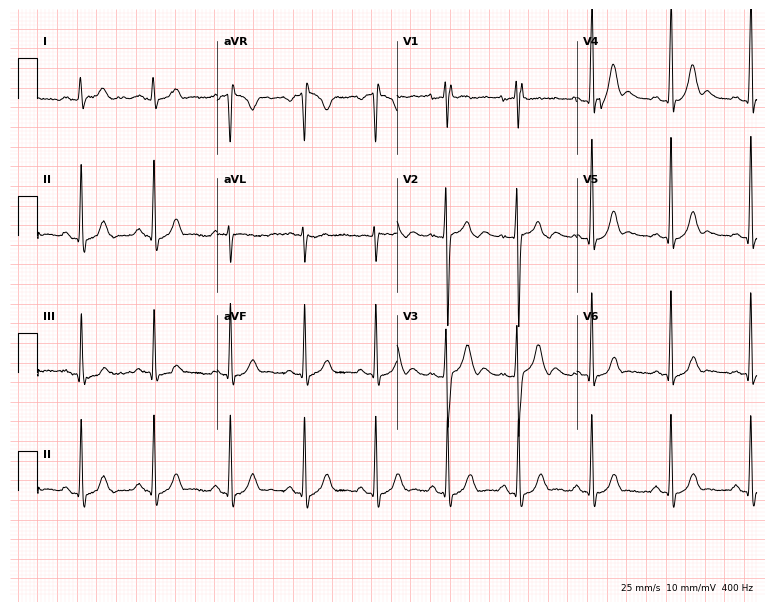
Resting 12-lead electrocardiogram. Patient: a male, 19 years old. None of these six findings is recorded: first-degree AV block, right bundle branch block (RBBB), left bundle branch block (LBBB), sinus bradycardia, atrial fibrillation (AF), sinus tachycardia. Findings outside these six are not listed.